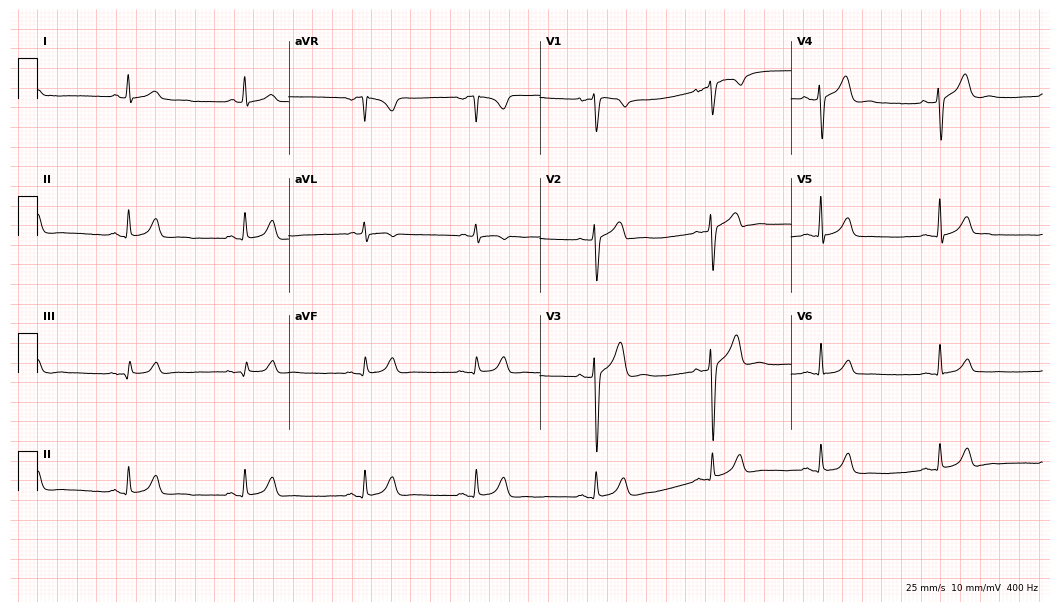
Electrocardiogram (10.2-second recording at 400 Hz), a 28-year-old male patient. Of the six screened findings (first-degree AV block, right bundle branch block (RBBB), left bundle branch block (LBBB), sinus bradycardia, atrial fibrillation (AF), sinus tachycardia), none is recorded. Other findings, if any, are not listed.